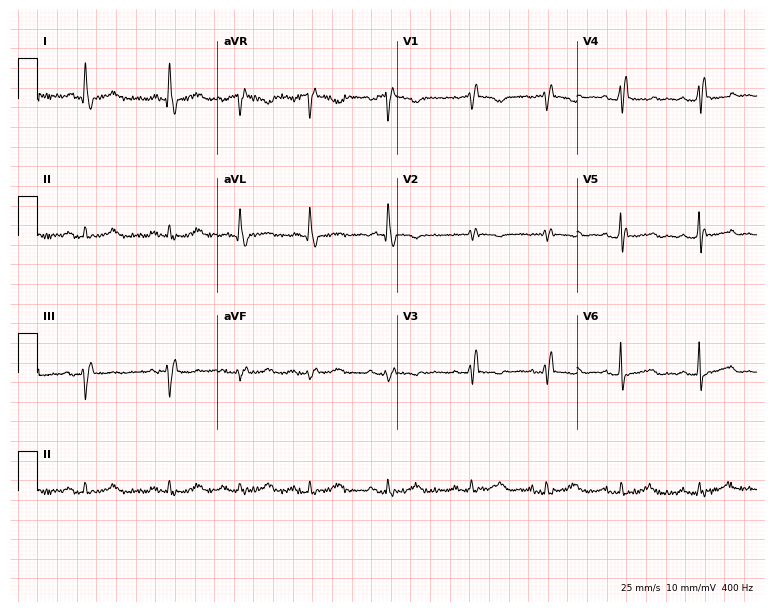
Electrocardiogram, a female patient, 67 years old. Of the six screened findings (first-degree AV block, right bundle branch block (RBBB), left bundle branch block (LBBB), sinus bradycardia, atrial fibrillation (AF), sinus tachycardia), none is recorded.